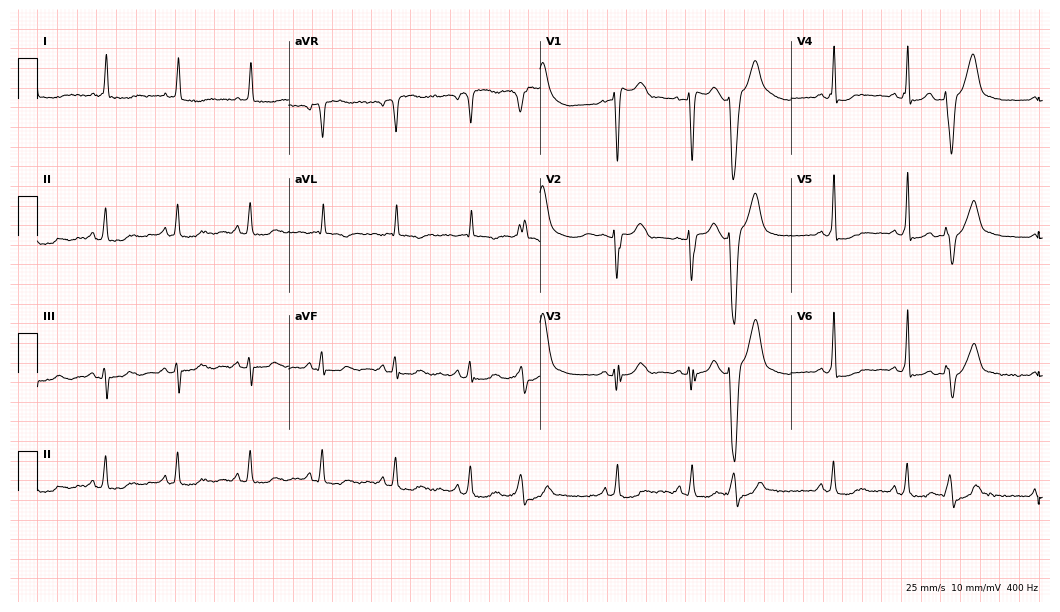
Resting 12-lead electrocardiogram. Patient: a woman, 80 years old. None of these six findings is recorded: first-degree AV block, right bundle branch block (RBBB), left bundle branch block (LBBB), sinus bradycardia, atrial fibrillation (AF), sinus tachycardia. Findings outside these six are not listed.